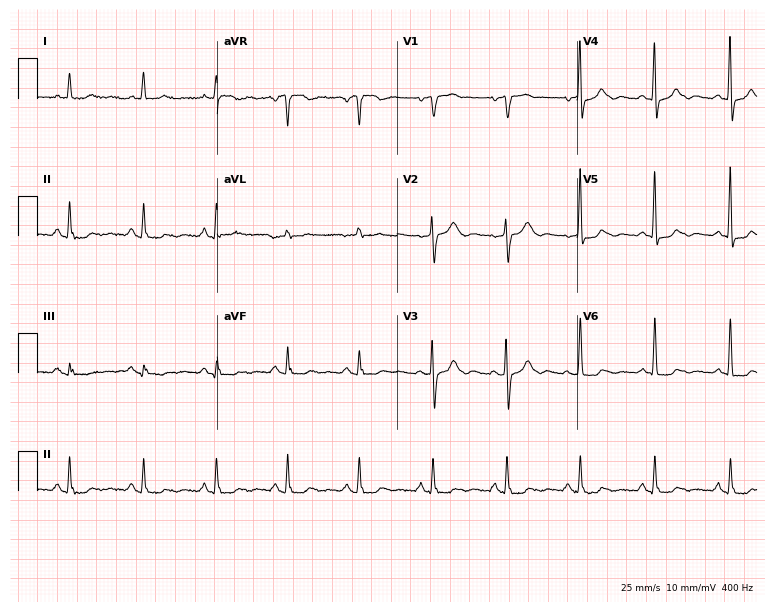
Resting 12-lead electrocardiogram (7.3-second recording at 400 Hz). Patient: an 80-year-old woman. None of these six findings is recorded: first-degree AV block, right bundle branch block (RBBB), left bundle branch block (LBBB), sinus bradycardia, atrial fibrillation (AF), sinus tachycardia.